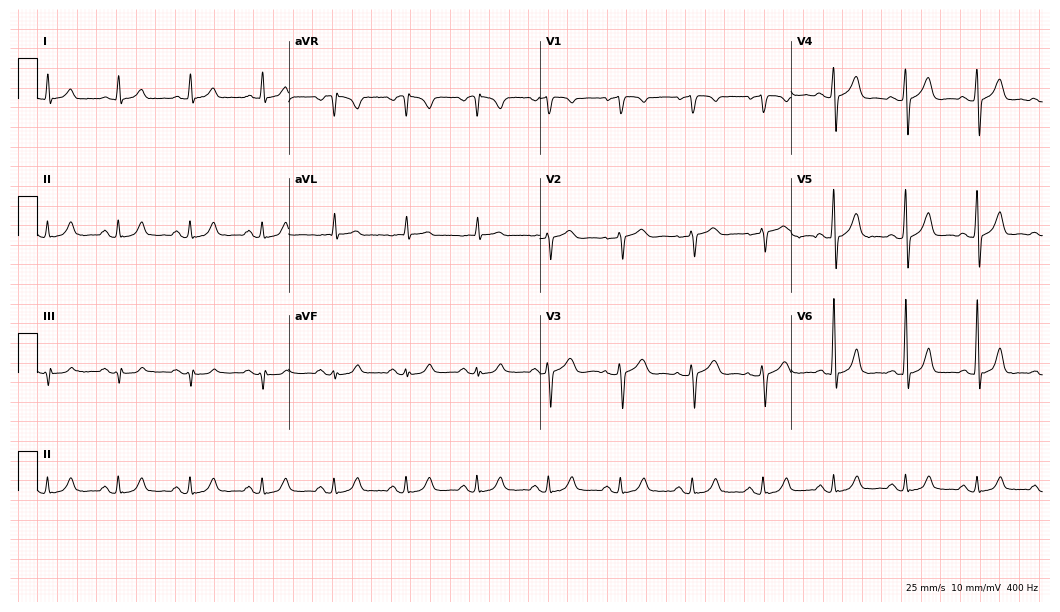
Standard 12-lead ECG recorded from a 75-year-old male patient. Read as a normal ECG.